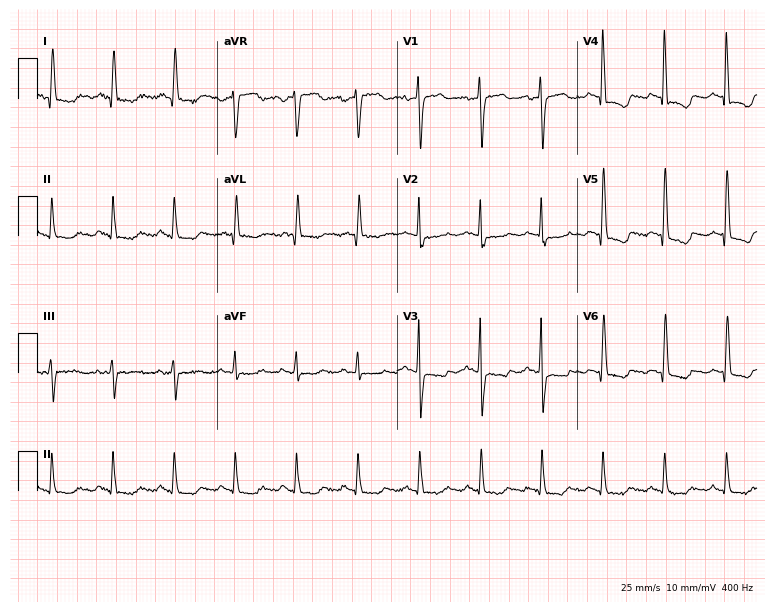
ECG (7.3-second recording at 400 Hz) — a female patient, 78 years old. Screened for six findings — first-degree AV block, right bundle branch block (RBBB), left bundle branch block (LBBB), sinus bradycardia, atrial fibrillation (AF), sinus tachycardia — none is recorded. Other findings, if any, are not listed.